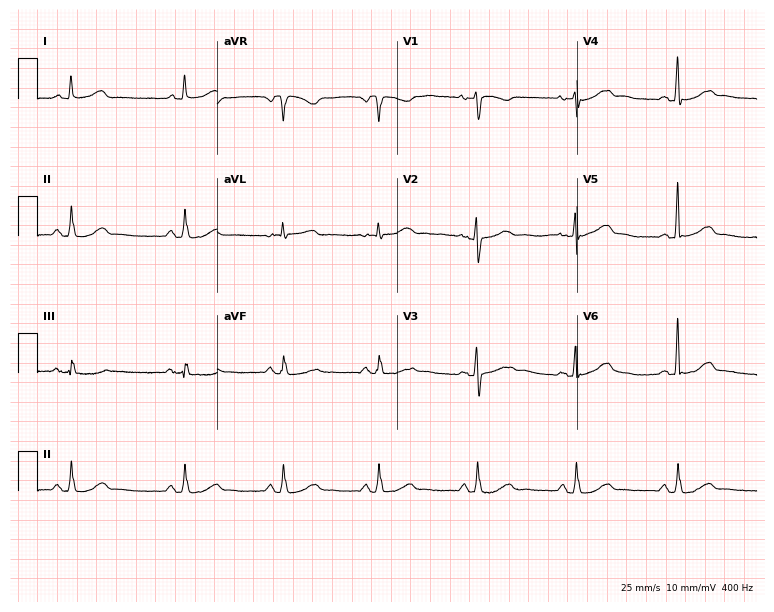
ECG (7.3-second recording at 400 Hz) — a 54-year-old female. Screened for six findings — first-degree AV block, right bundle branch block (RBBB), left bundle branch block (LBBB), sinus bradycardia, atrial fibrillation (AF), sinus tachycardia — none is recorded.